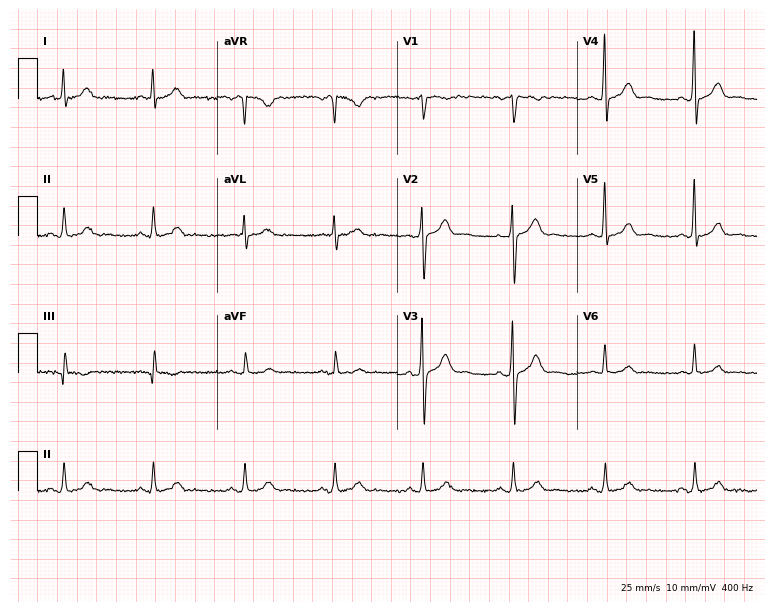
Electrocardiogram, a 41-year-old male. Overall reading on record: normal ECG.